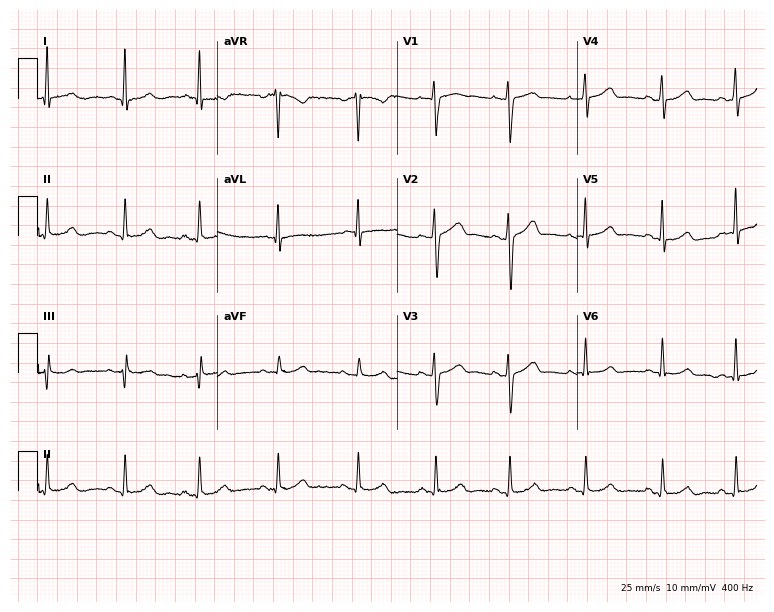
ECG — a 37-year-old woman. Labelled as a normal ECG.